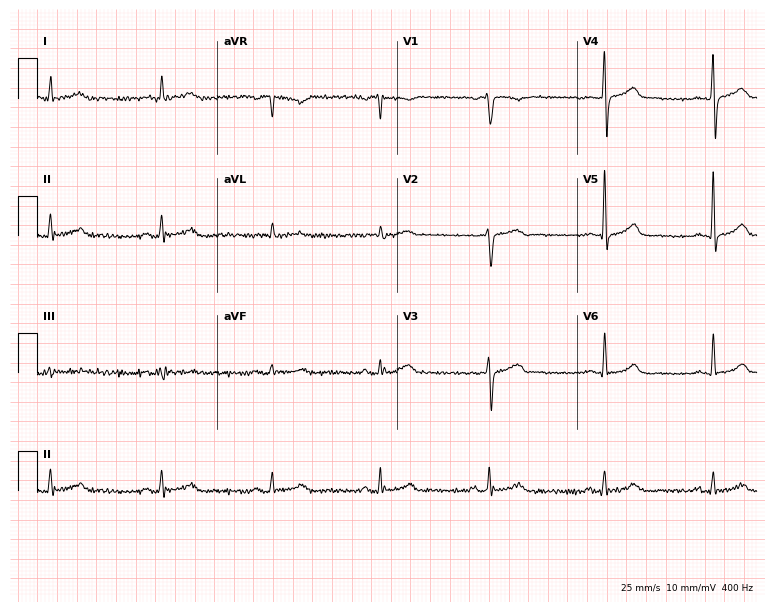
12-lead ECG from a man, 60 years old. Labelled as a normal ECG.